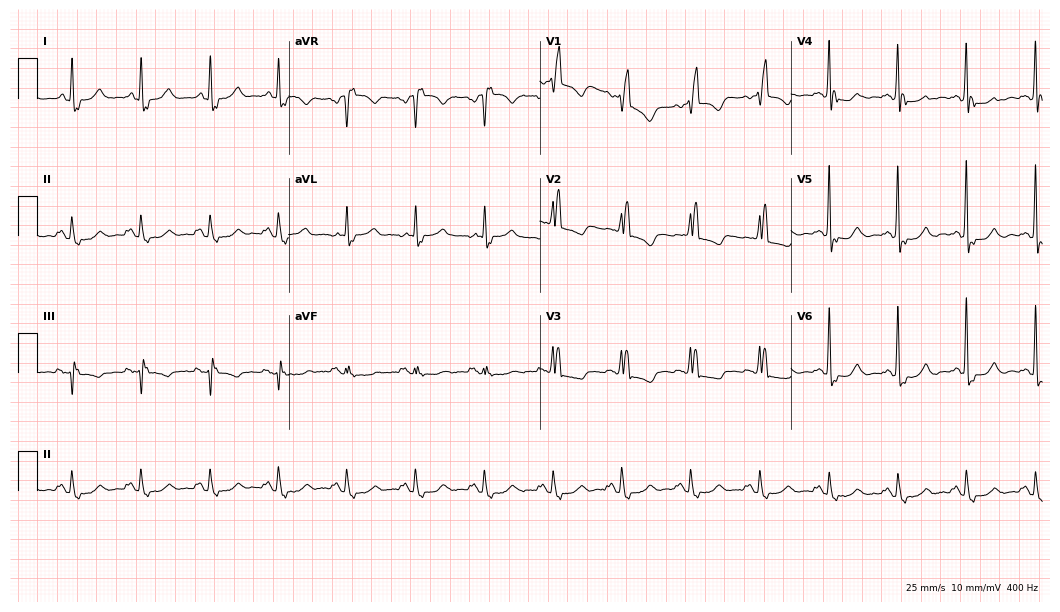
ECG (10.2-second recording at 400 Hz) — a woman, 84 years old. Findings include right bundle branch block (RBBB).